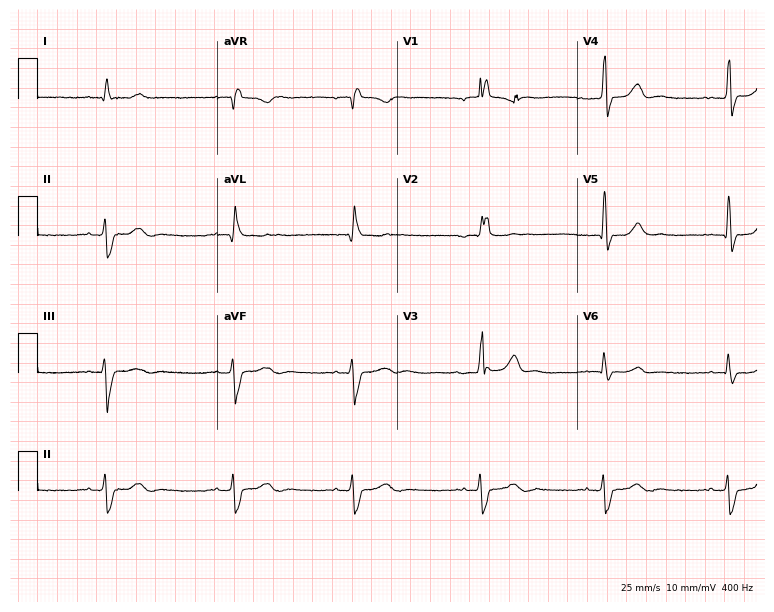
Electrocardiogram (7.3-second recording at 400 Hz), a 66-year-old male. Of the six screened findings (first-degree AV block, right bundle branch block, left bundle branch block, sinus bradycardia, atrial fibrillation, sinus tachycardia), none is recorded. Other findings, if any, are not listed.